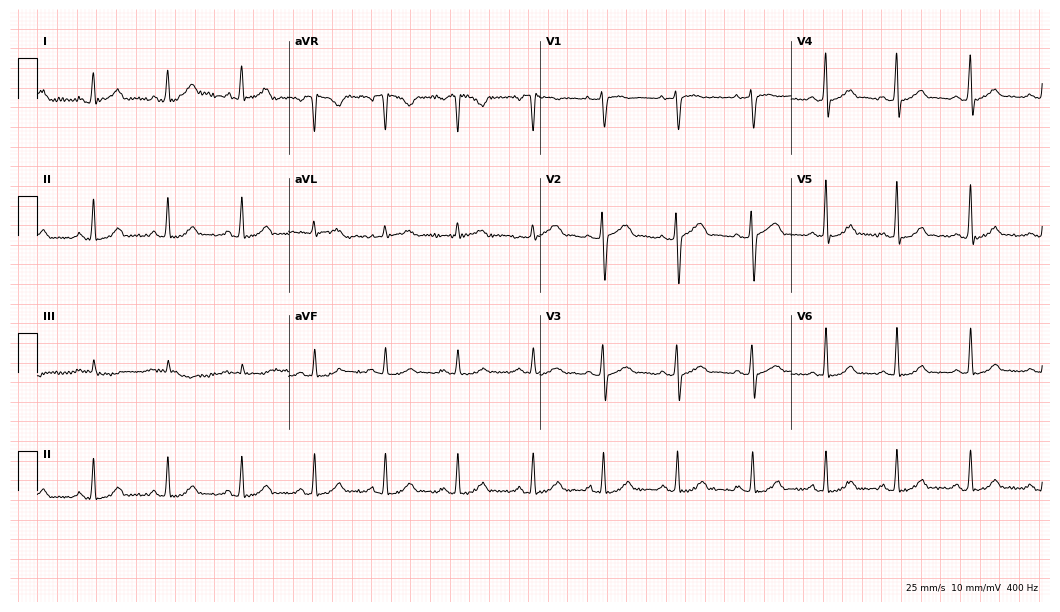
Electrocardiogram, a 41-year-old female. Overall reading on record: normal ECG.